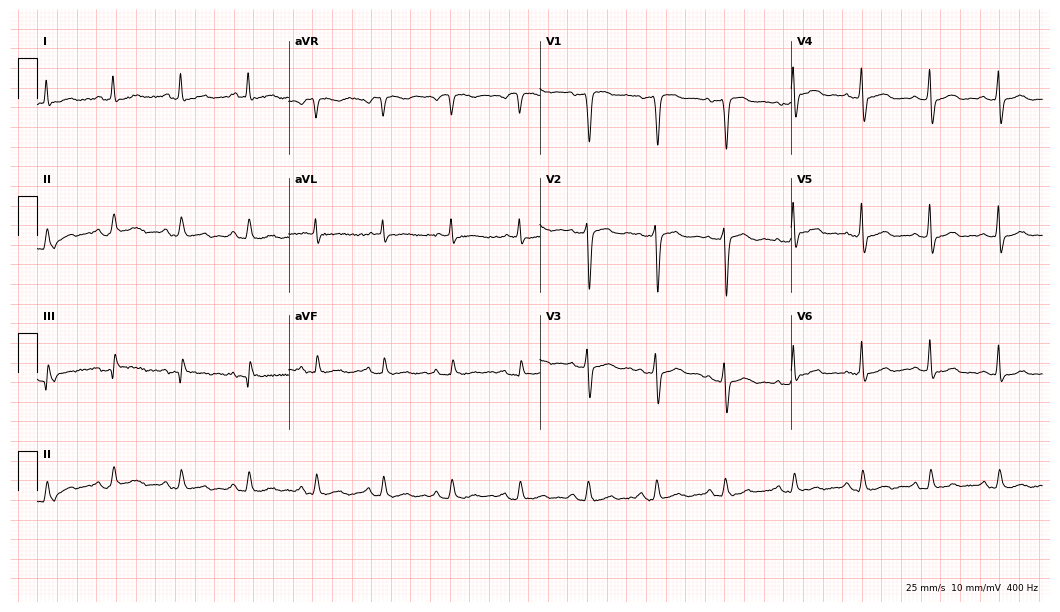
Standard 12-lead ECG recorded from a male patient, 77 years old. Read as a normal ECG.